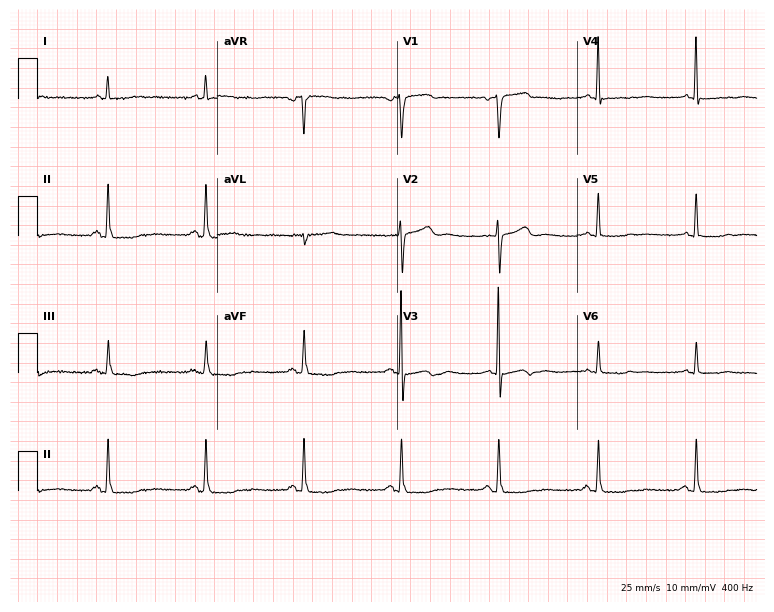
Electrocardiogram, a 56-year-old male patient. Of the six screened findings (first-degree AV block, right bundle branch block, left bundle branch block, sinus bradycardia, atrial fibrillation, sinus tachycardia), none is recorded. Only these six findings were labelled.